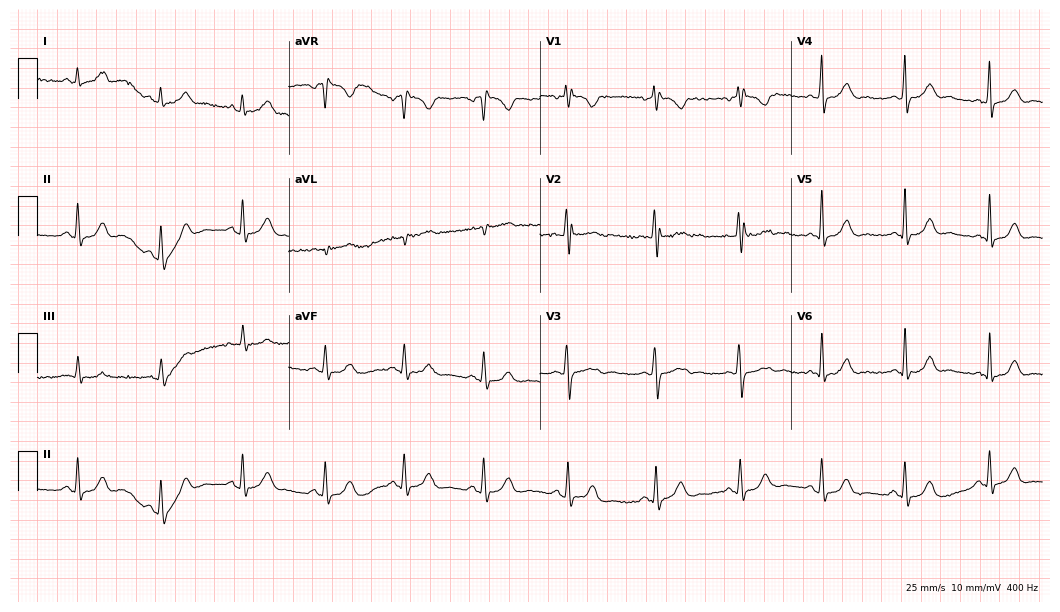
Resting 12-lead electrocardiogram. Patient: a 37-year-old woman. None of these six findings is recorded: first-degree AV block, right bundle branch block (RBBB), left bundle branch block (LBBB), sinus bradycardia, atrial fibrillation (AF), sinus tachycardia. Other findings, if any, are not listed.